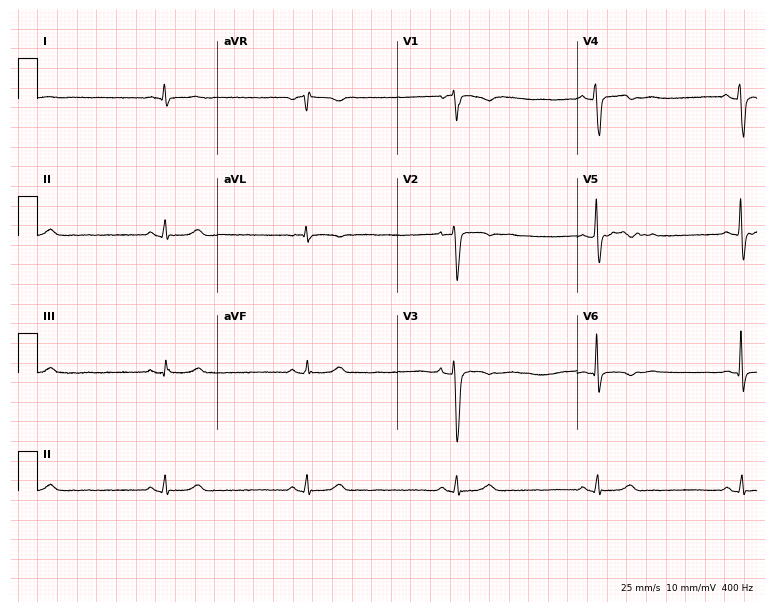
12-lead ECG from a male patient, 45 years old. Shows sinus bradycardia (a sinus rate of 50 beats per minute or less).